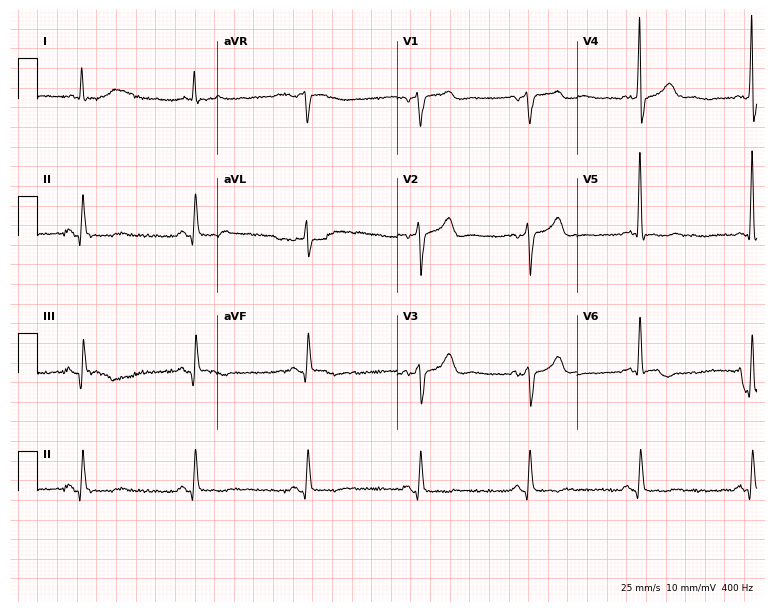
12-lead ECG from a 74-year-old female (7.3-second recording at 400 Hz). No first-degree AV block, right bundle branch block, left bundle branch block, sinus bradycardia, atrial fibrillation or sinus tachycardia recorded for this tracing. Other findings, if any, are not listed.